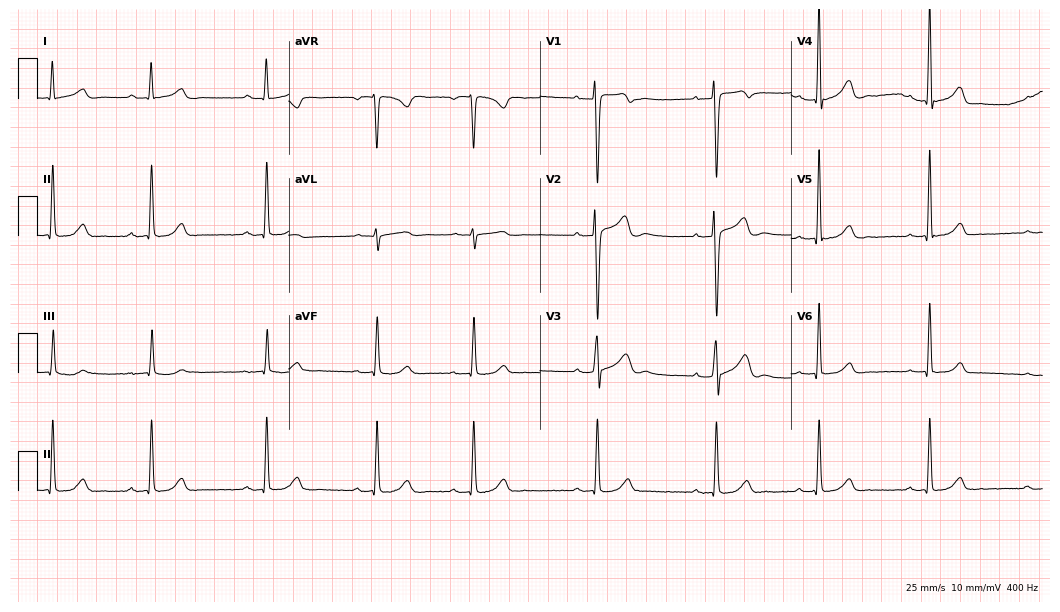
Standard 12-lead ECG recorded from a 40-year-old man (10.2-second recording at 400 Hz). None of these six findings is recorded: first-degree AV block, right bundle branch block, left bundle branch block, sinus bradycardia, atrial fibrillation, sinus tachycardia.